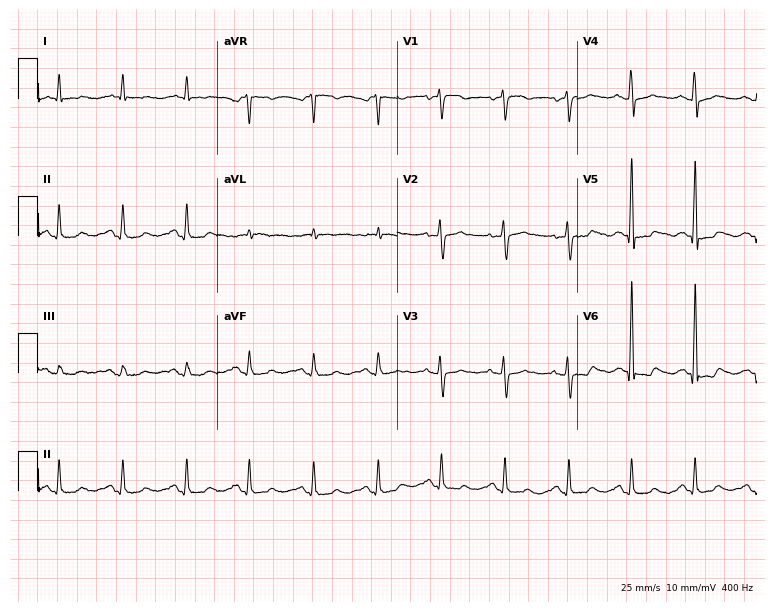
Resting 12-lead electrocardiogram (7.3-second recording at 400 Hz). Patient: a 76-year-old woman. Read as a normal ECG.